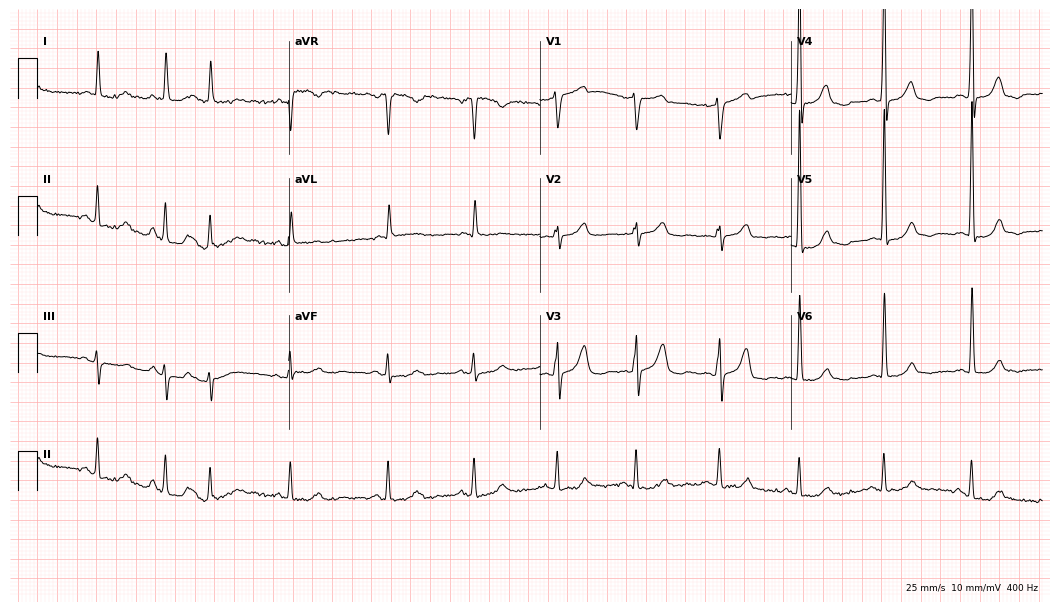
12-lead ECG from a woman, 75 years old (10.2-second recording at 400 Hz). No first-degree AV block, right bundle branch block (RBBB), left bundle branch block (LBBB), sinus bradycardia, atrial fibrillation (AF) or sinus tachycardia recorded for this tracing. Other findings, if any, are not listed.